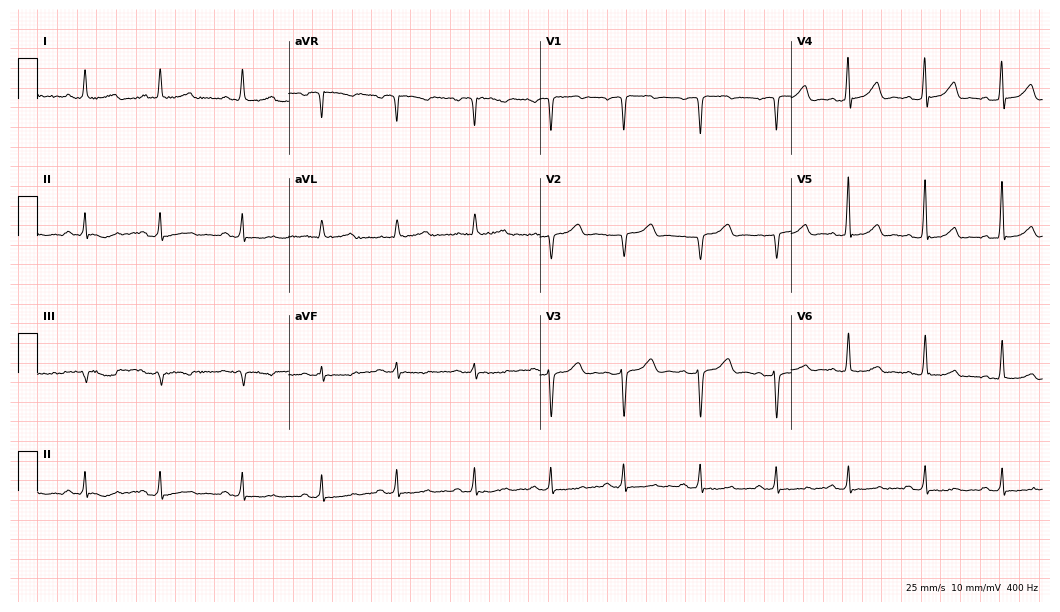
12-lead ECG from a female, 43 years old (10.2-second recording at 400 Hz). No first-degree AV block, right bundle branch block, left bundle branch block, sinus bradycardia, atrial fibrillation or sinus tachycardia recorded for this tracing. Findings outside these six are not listed.